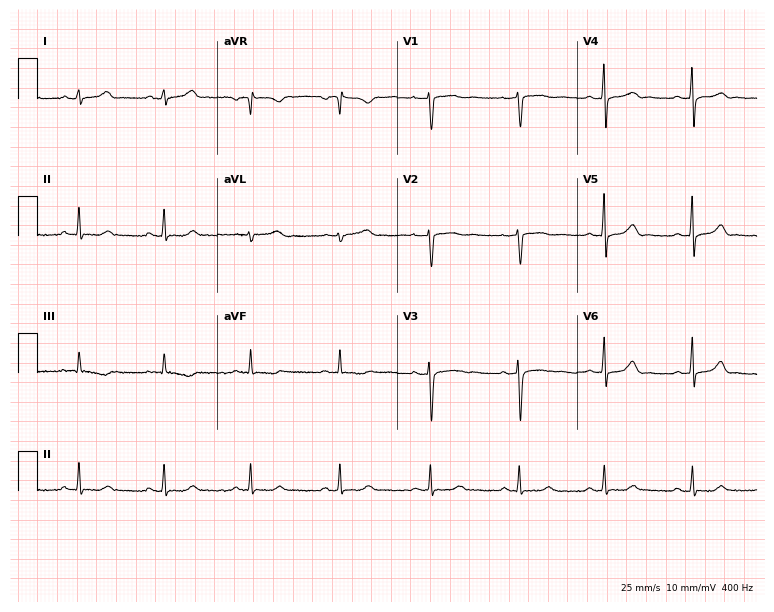
12-lead ECG from a female patient, 27 years old (7.3-second recording at 400 Hz). No first-degree AV block, right bundle branch block, left bundle branch block, sinus bradycardia, atrial fibrillation or sinus tachycardia recorded for this tracing.